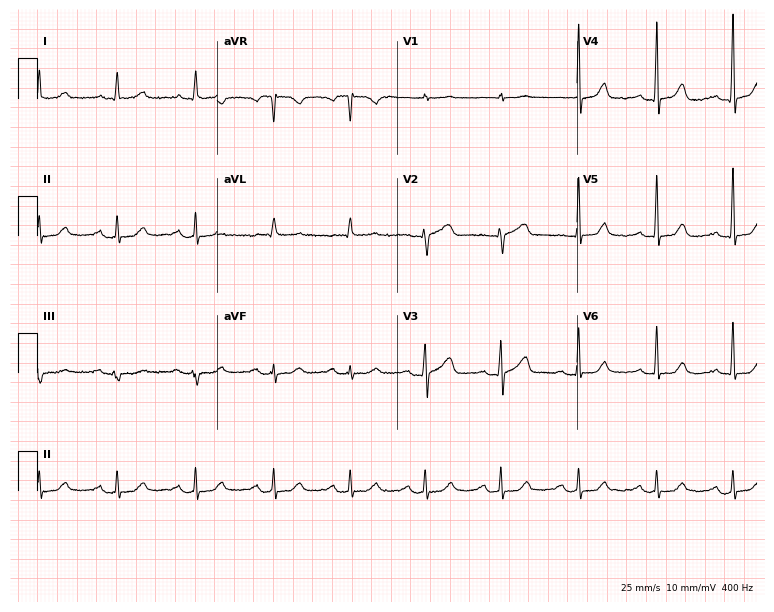
Electrocardiogram (7.3-second recording at 400 Hz), a male, 66 years old. Of the six screened findings (first-degree AV block, right bundle branch block (RBBB), left bundle branch block (LBBB), sinus bradycardia, atrial fibrillation (AF), sinus tachycardia), none is recorded. Other findings, if any, are not listed.